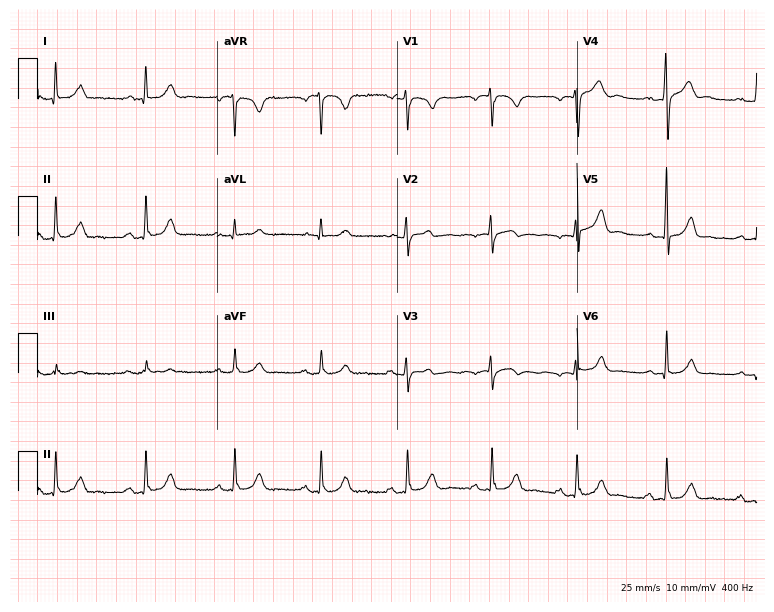
Electrocardiogram, a 42-year-old male patient. Of the six screened findings (first-degree AV block, right bundle branch block (RBBB), left bundle branch block (LBBB), sinus bradycardia, atrial fibrillation (AF), sinus tachycardia), none is recorded.